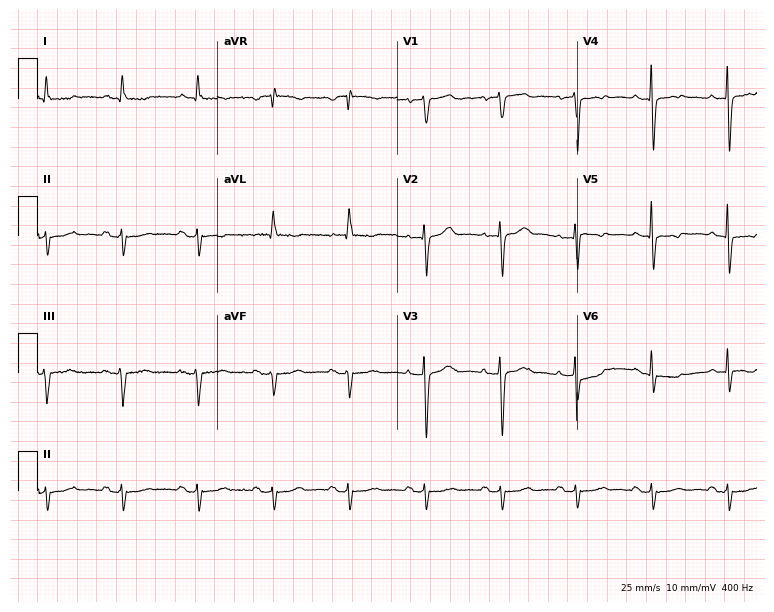
12-lead ECG from a female patient, 83 years old. No first-degree AV block, right bundle branch block, left bundle branch block, sinus bradycardia, atrial fibrillation or sinus tachycardia recorded for this tracing.